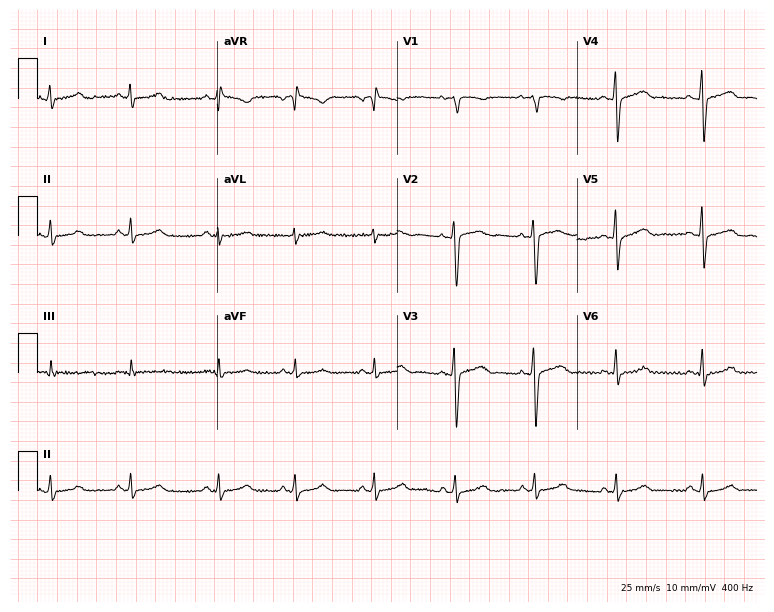
Electrocardiogram (7.3-second recording at 400 Hz), a 28-year-old female patient. Overall reading on record: normal ECG.